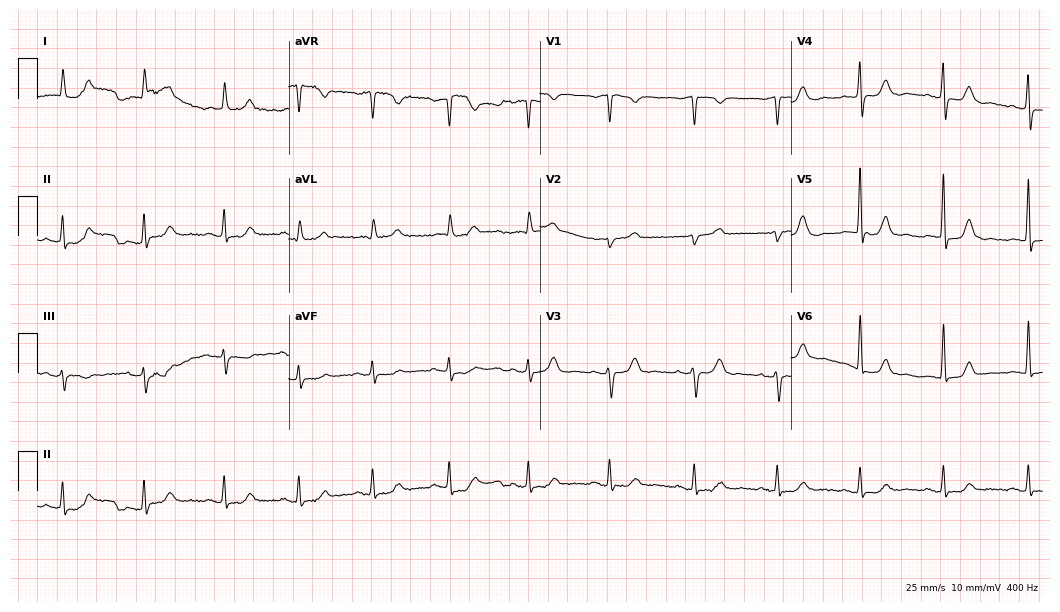
12-lead ECG from a woman, 80 years old (10.2-second recording at 400 Hz). No first-degree AV block, right bundle branch block (RBBB), left bundle branch block (LBBB), sinus bradycardia, atrial fibrillation (AF) or sinus tachycardia recorded for this tracing. Findings outside these six are not listed.